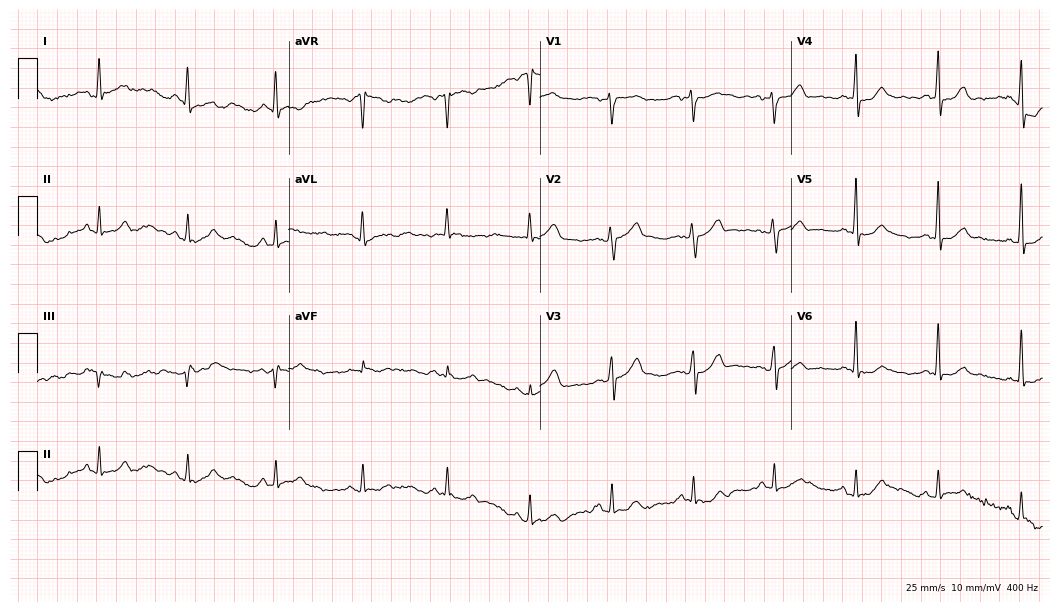
Standard 12-lead ECG recorded from a 51-year-old male patient (10.2-second recording at 400 Hz). Read as a normal ECG.